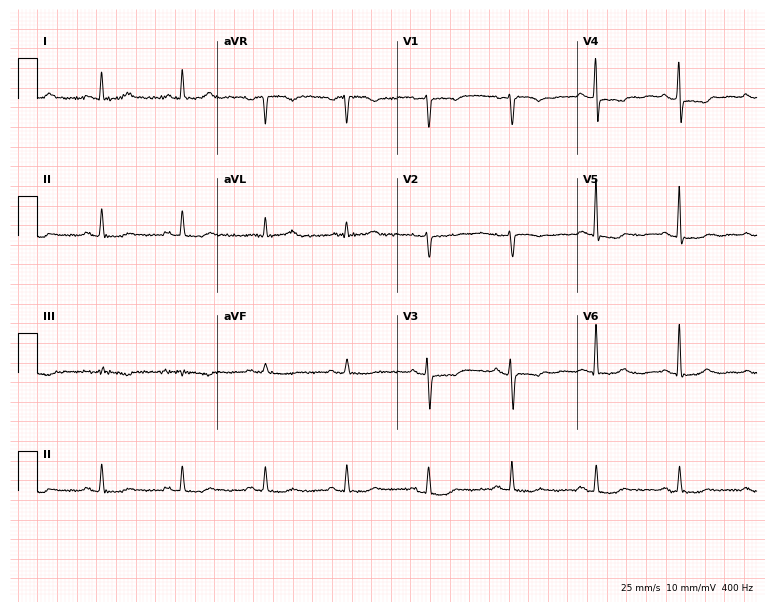
ECG (7.3-second recording at 400 Hz) — a 53-year-old woman. Screened for six findings — first-degree AV block, right bundle branch block, left bundle branch block, sinus bradycardia, atrial fibrillation, sinus tachycardia — none is recorded. Only these six findings were labelled.